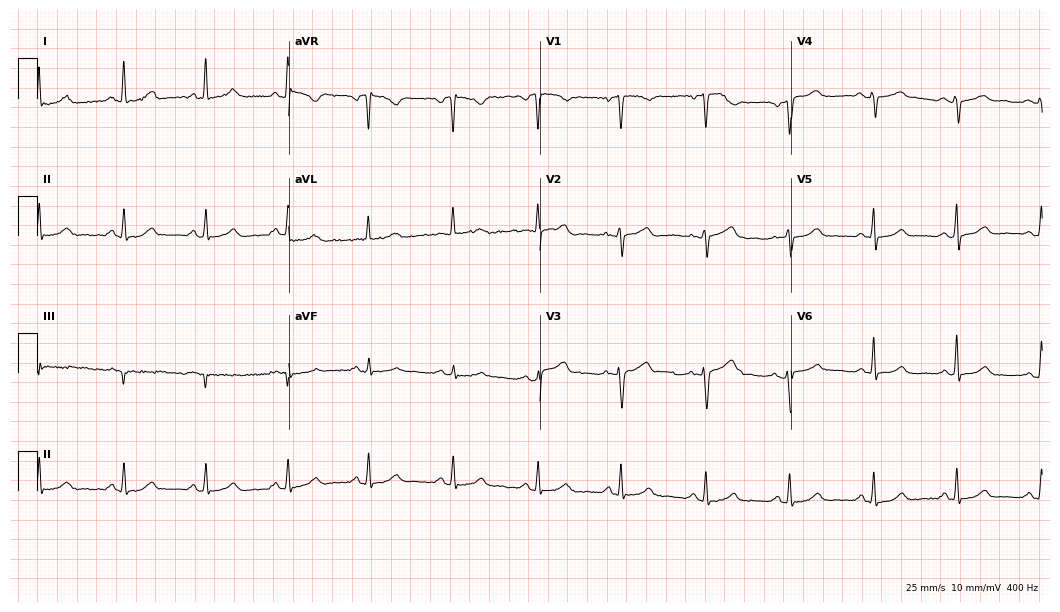
Electrocardiogram (10.2-second recording at 400 Hz), a 69-year-old female. Overall reading on record: normal ECG.